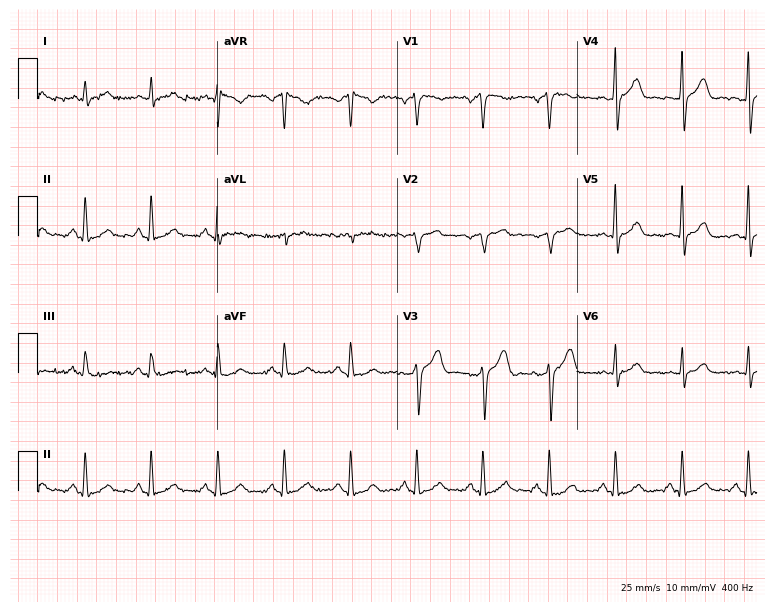
12-lead ECG from a 60-year-old man (7.3-second recording at 400 Hz). Recorded interpretation: within normal limits.